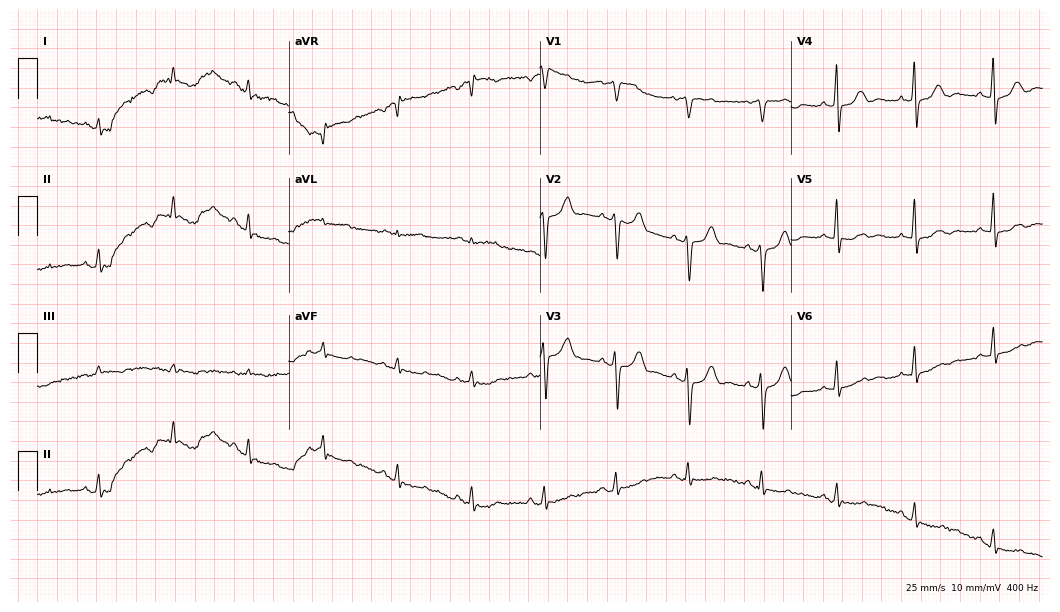
Resting 12-lead electrocardiogram (10.2-second recording at 400 Hz). Patient: a male, 57 years old. None of these six findings is recorded: first-degree AV block, right bundle branch block, left bundle branch block, sinus bradycardia, atrial fibrillation, sinus tachycardia. Other findings, if any, are not listed.